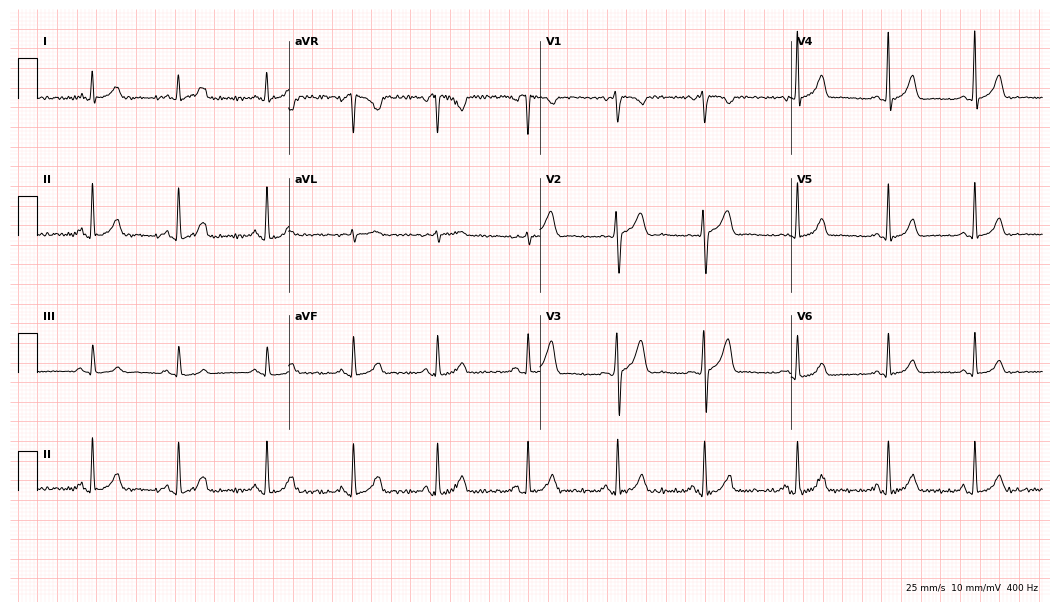
ECG — a 30-year-old female. Labelled as a normal ECG.